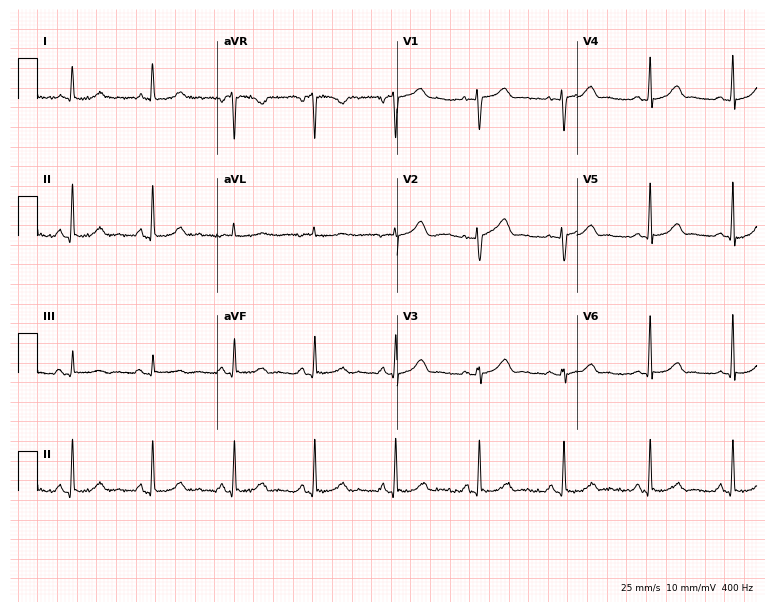
12-lead ECG (7.3-second recording at 400 Hz) from a woman, 44 years old. Labelled as a normal ECG.